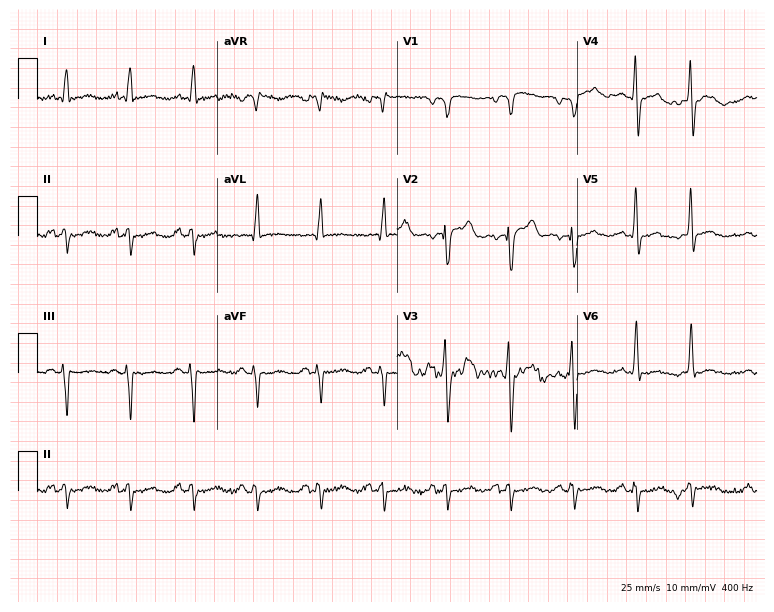
Standard 12-lead ECG recorded from a man, 59 years old. Read as a normal ECG.